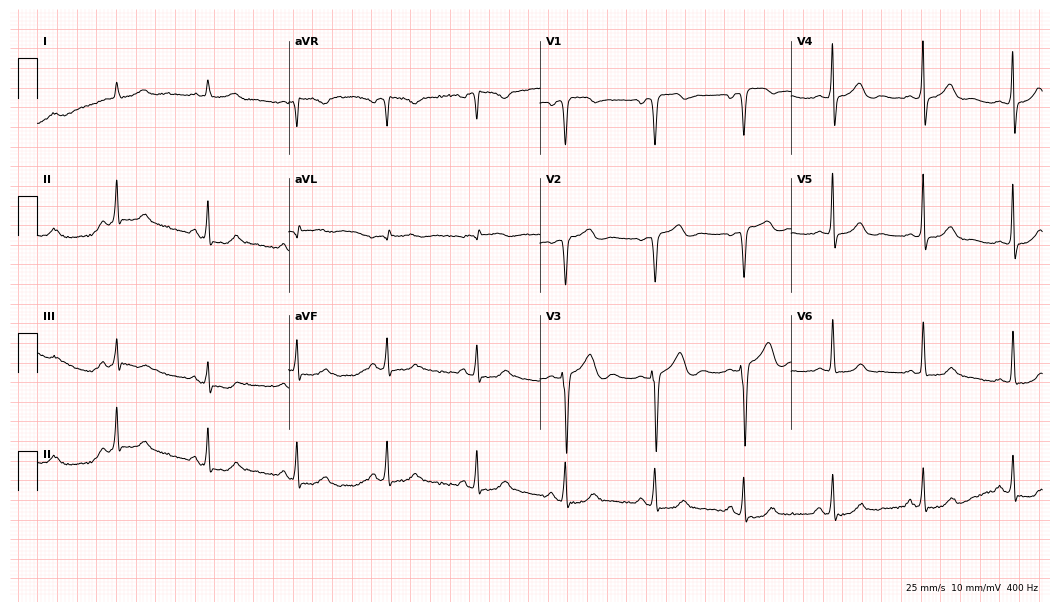
Resting 12-lead electrocardiogram (10.2-second recording at 400 Hz). Patient: a man, 63 years old. None of these six findings is recorded: first-degree AV block, right bundle branch block, left bundle branch block, sinus bradycardia, atrial fibrillation, sinus tachycardia. Other findings, if any, are not listed.